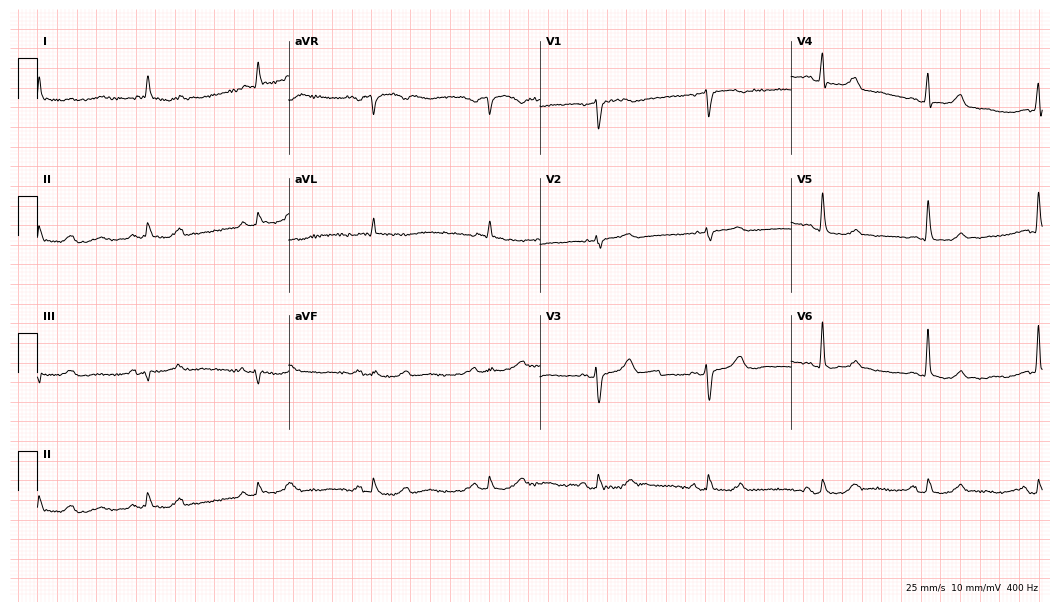
Standard 12-lead ECG recorded from a 77-year-old male patient (10.2-second recording at 400 Hz). None of these six findings is recorded: first-degree AV block, right bundle branch block, left bundle branch block, sinus bradycardia, atrial fibrillation, sinus tachycardia. Findings outside these six are not listed.